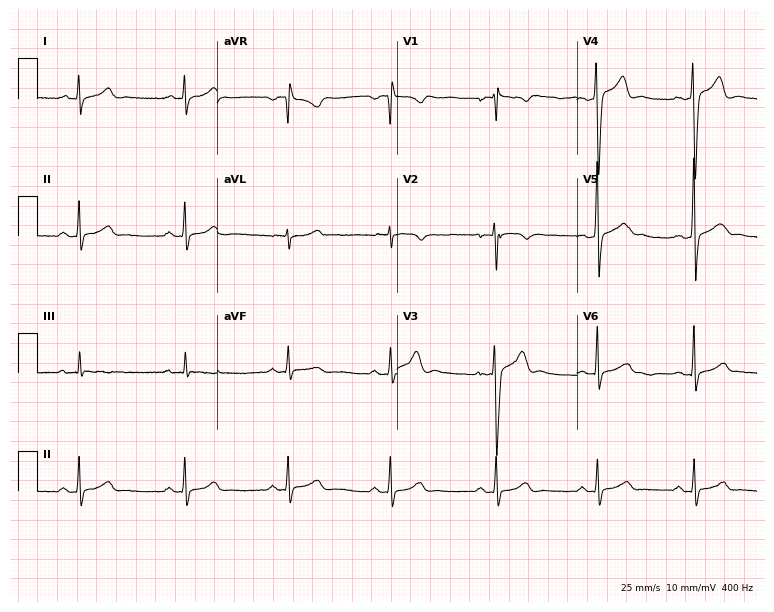
Resting 12-lead electrocardiogram. Patient: a male, 22 years old. Read as a normal ECG.